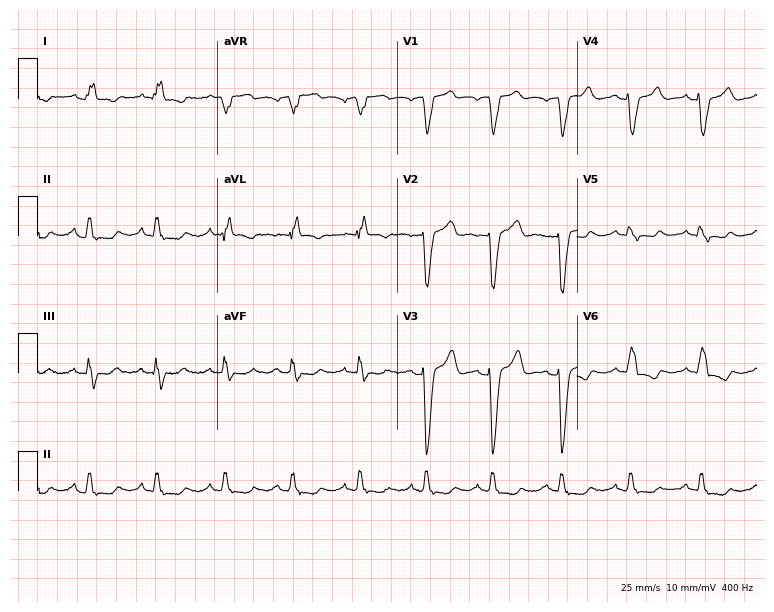
12-lead ECG from a 62-year-old woman. Findings include left bundle branch block.